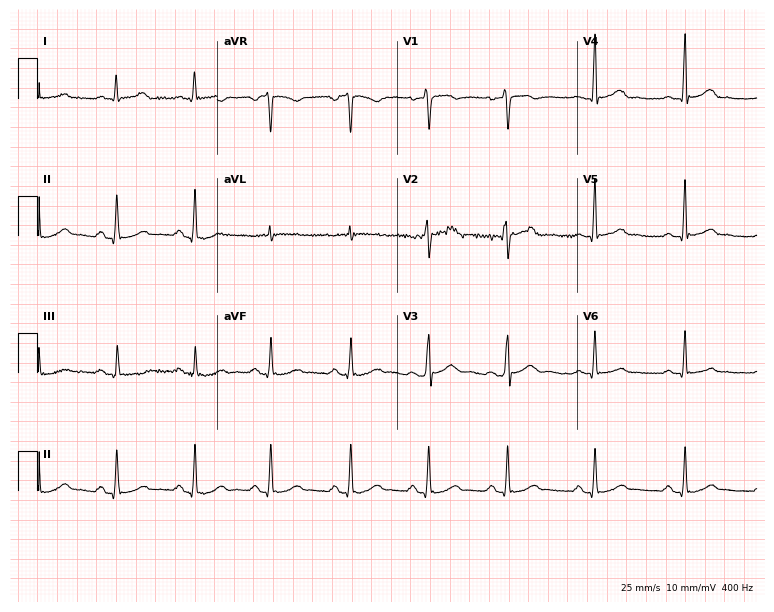
ECG (7.3-second recording at 400 Hz) — a 29-year-old male patient. Labelled as a normal ECG.